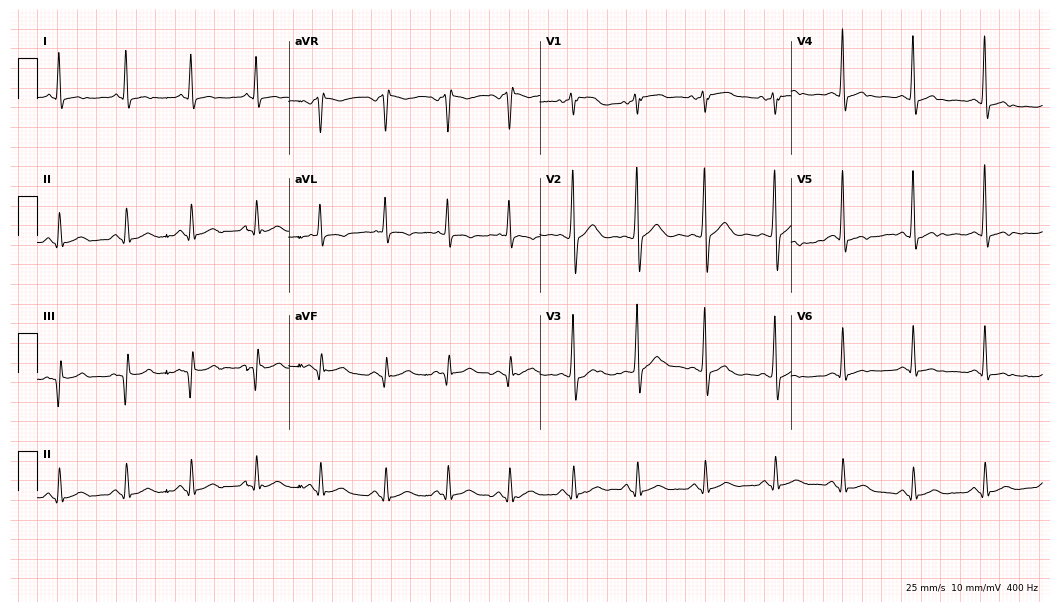
12-lead ECG (10.2-second recording at 400 Hz) from a male, 50 years old. Screened for six findings — first-degree AV block, right bundle branch block, left bundle branch block, sinus bradycardia, atrial fibrillation, sinus tachycardia — none is recorded.